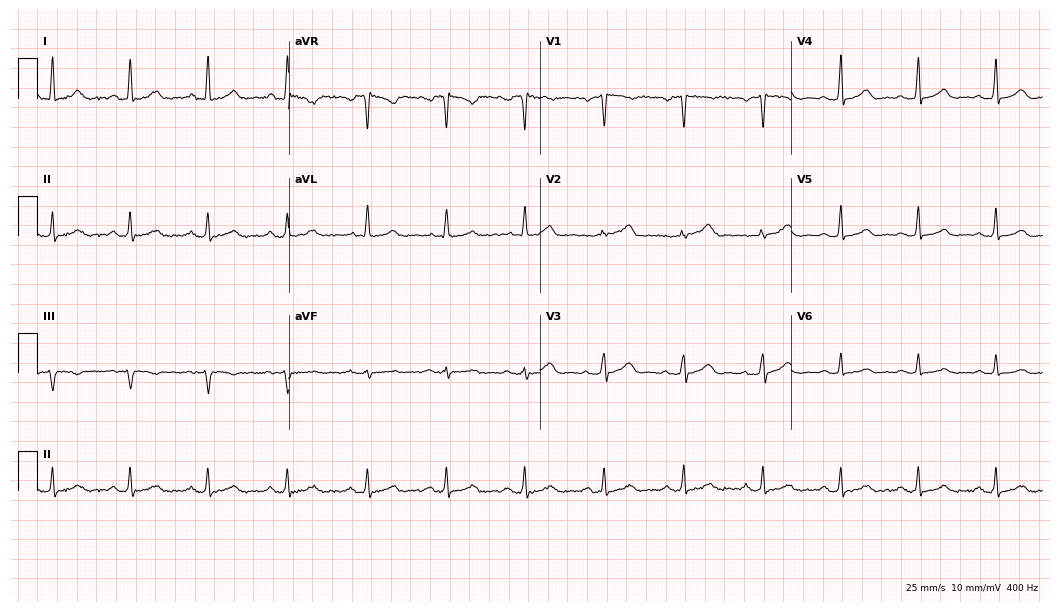
Standard 12-lead ECG recorded from a 66-year-old female patient (10.2-second recording at 400 Hz). Read as a normal ECG.